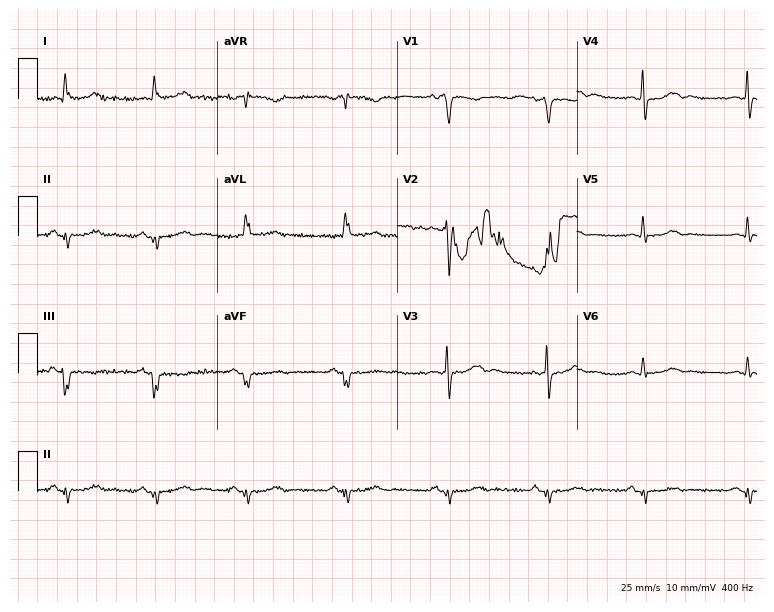
Electrocardiogram (7.3-second recording at 400 Hz), a 68-year-old female patient. Of the six screened findings (first-degree AV block, right bundle branch block, left bundle branch block, sinus bradycardia, atrial fibrillation, sinus tachycardia), none is recorded. Only these six findings were labelled.